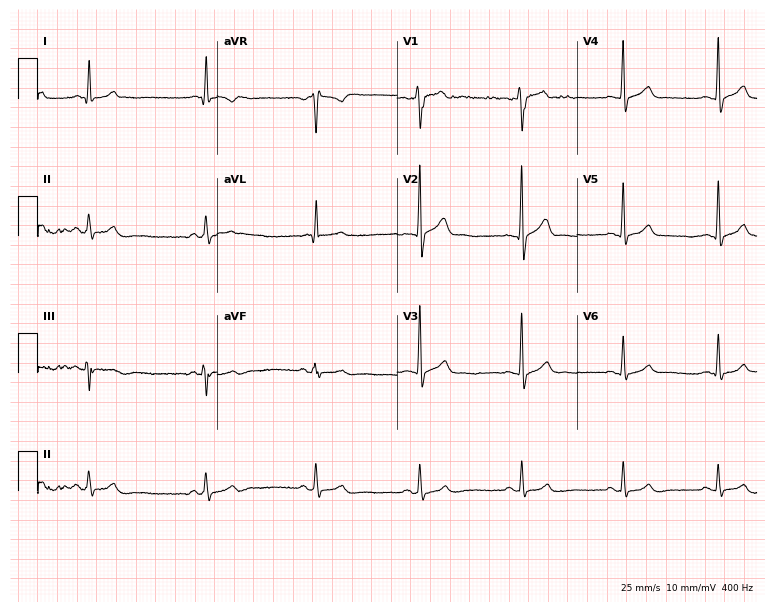
12-lead ECG from a 19-year-old male patient (7.3-second recording at 400 Hz). Recorded interpretation: within normal limits.